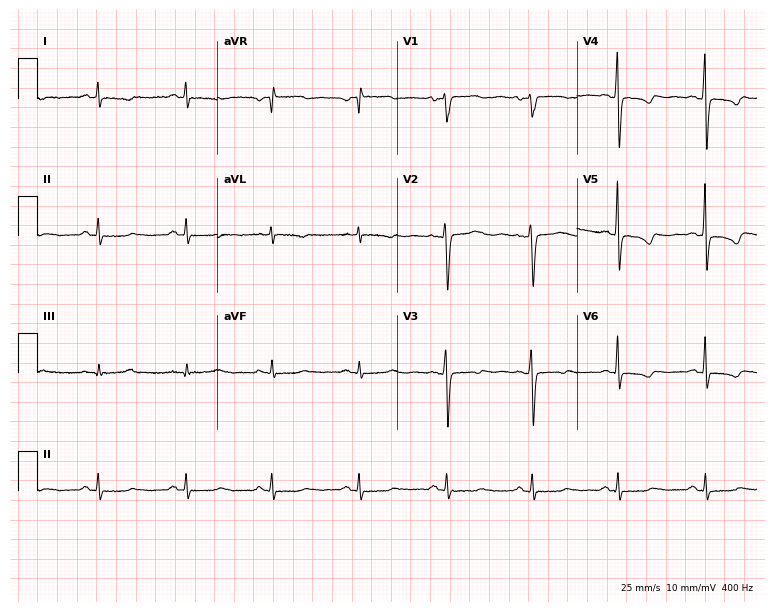
ECG — a 64-year-old female patient. Screened for six findings — first-degree AV block, right bundle branch block, left bundle branch block, sinus bradycardia, atrial fibrillation, sinus tachycardia — none is recorded.